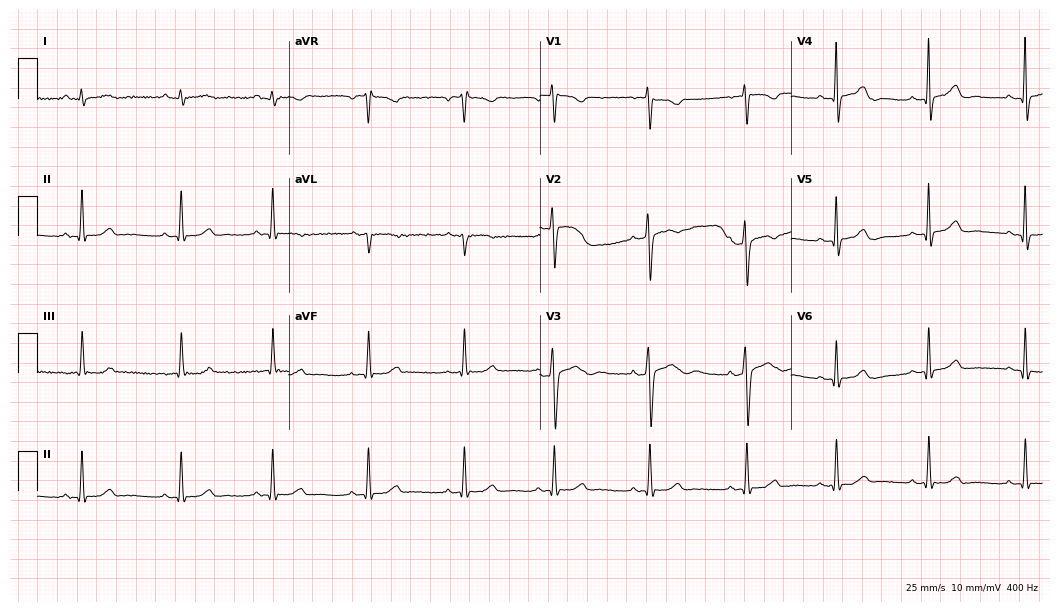
ECG (10.2-second recording at 400 Hz) — a female, 28 years old. Labelled as a normal ECG.